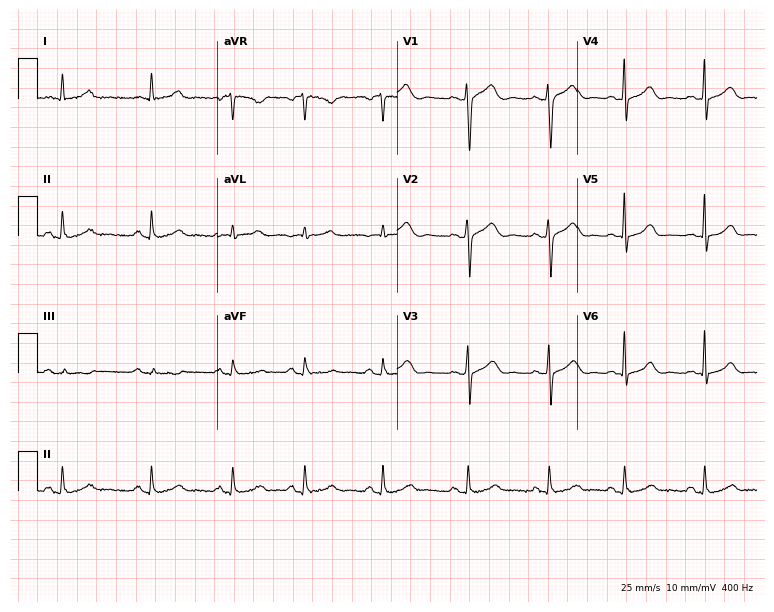
ECG — a 33-year-old female. Labelled as a normal ECG.